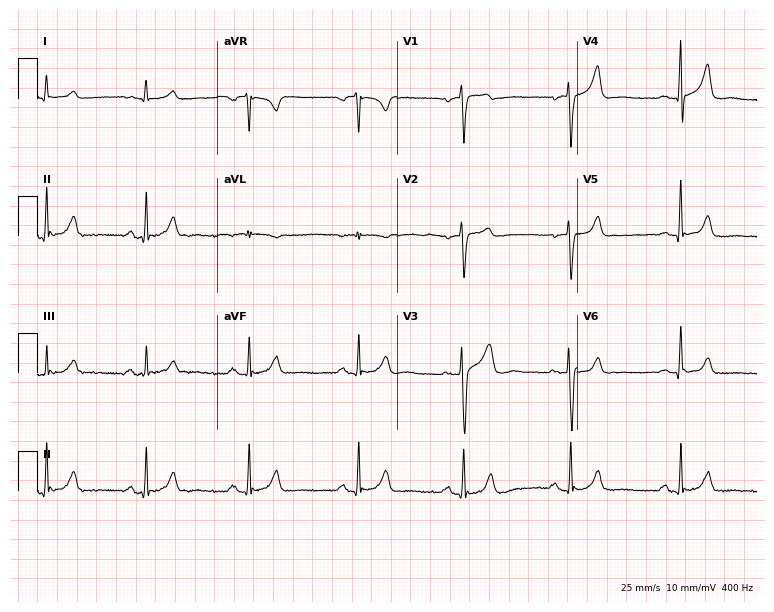
Electrocardiogram (7.3-second recording at 400 Hz), a 40-year-old man. Overall reading on record: normal ECG.